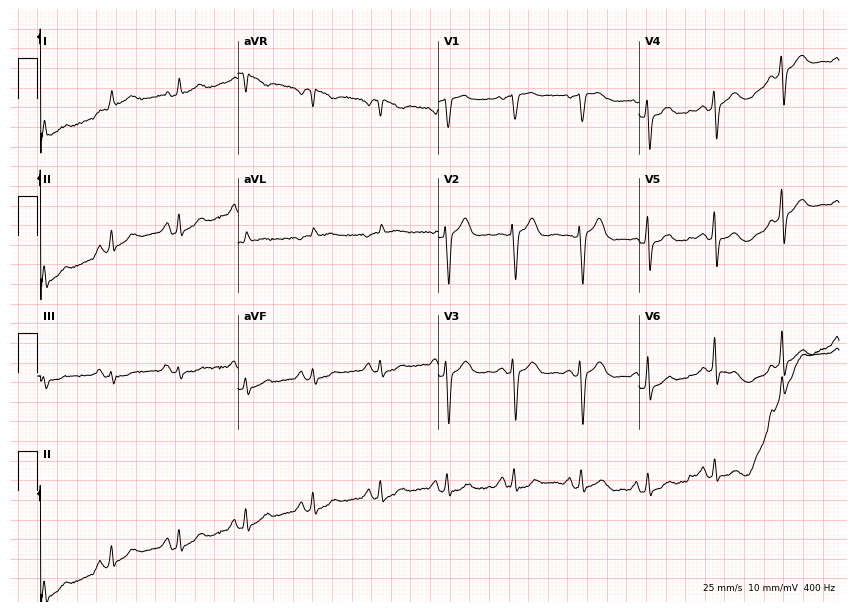
12-lead ECG from a female patient, 83 years old. Labelled as a normal ECG.